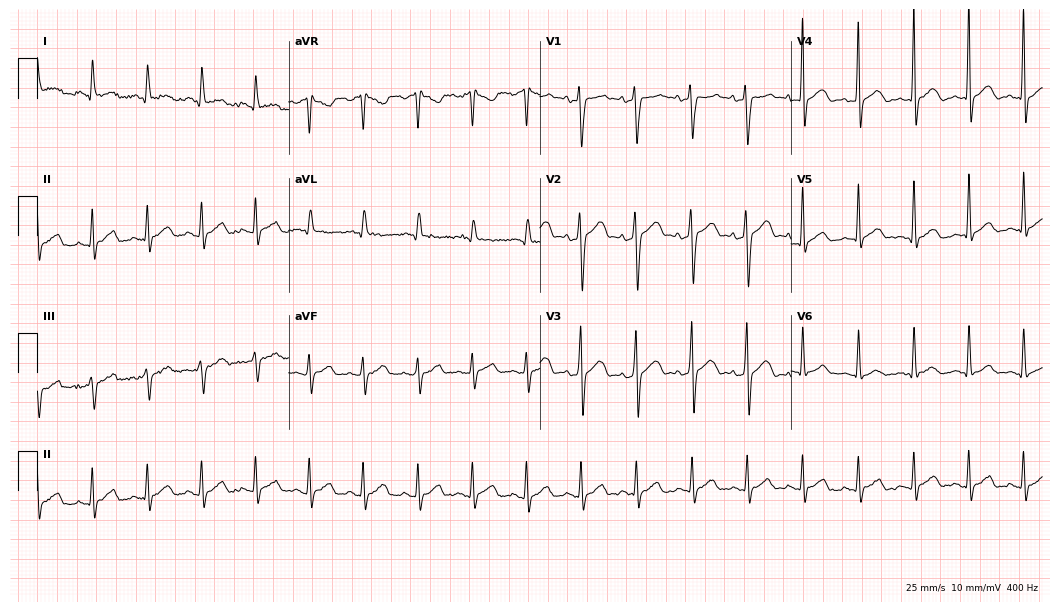
12-lead ECG from a female, 40 years old (10.2-second recording at 400 Hz). Shows sinus tachycardia (a sinus rate of 100 beats per minute or more).